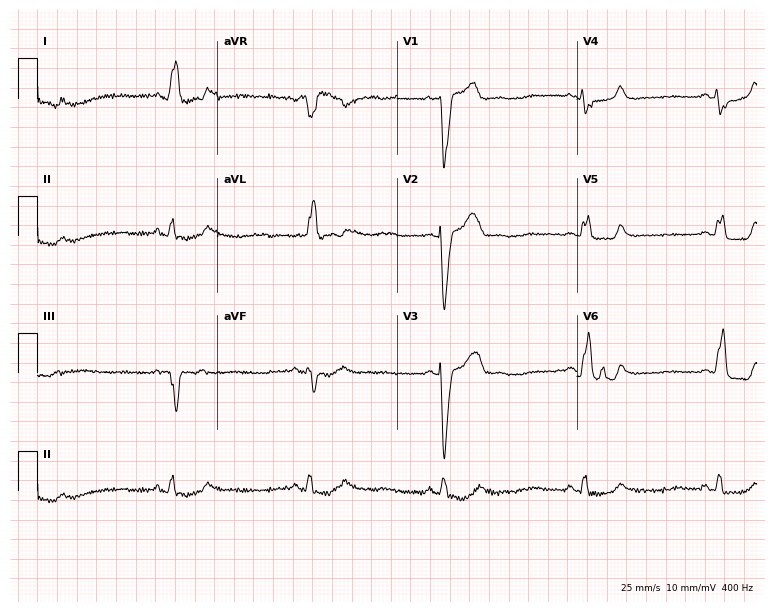
12-lead ECG from a 54-year-old man (7.3-second recording at 400 Hz). Shows left bundle branch block, sinus bradycardia (a sinus rate of 50 beats per minute or less).